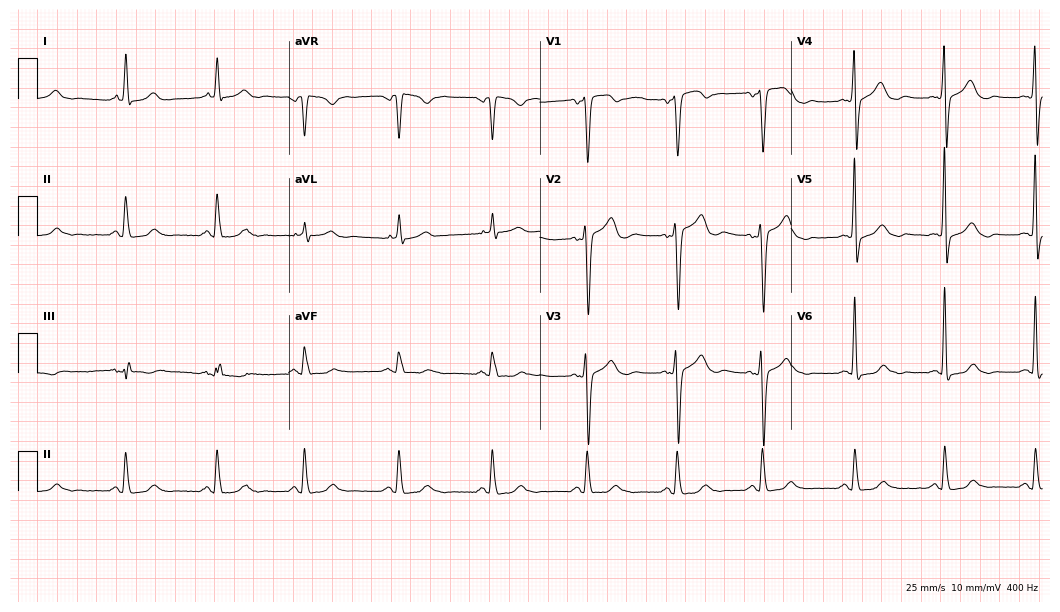
Resting 12-lead electrocardiogram (10.2-second recording at 400 Hz). Patient: a 49-year-old woman. None of these six findings is recorded: first-degree AV block, right bundle branch block, left bundle branch block, sinus bradycardia, atrial fibrillation, sinus tachycardia. Only these six findings were labelled.